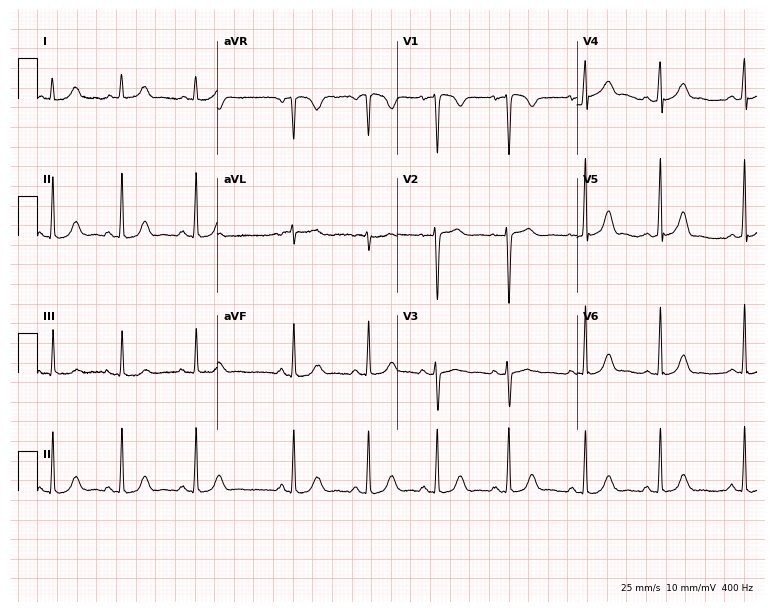
12-lead ECG from a 20-year-old female patient (7.3-second recording at 400 Hz). Recorded interpretation: within normal limits.